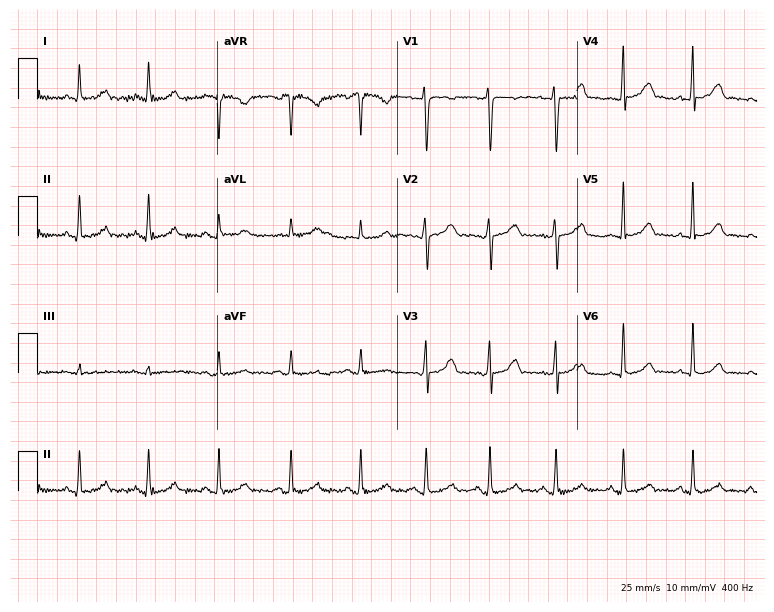
Electrocardiogram (7.3-second recording at 400 Hz), a 33-year-old female. Overall reading on record: normal ECG.